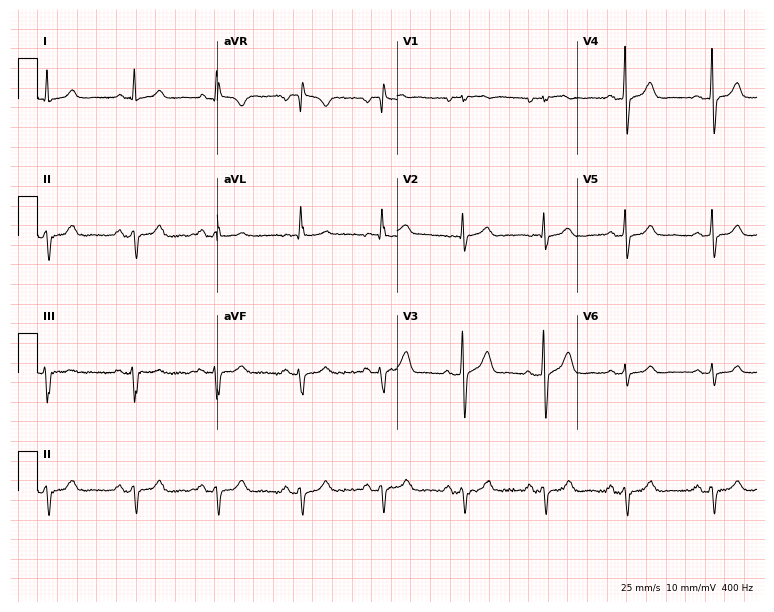
Resting 12-lead electrocardiogram. Patient: a 54-year-old female. None of these six findings is recorded: first-degree AV block, right bundle branch block, left bundle branch block, sinus bradycardia, atrial fibrillation, sinus tachycardia. Other findings, if any, are not listed.